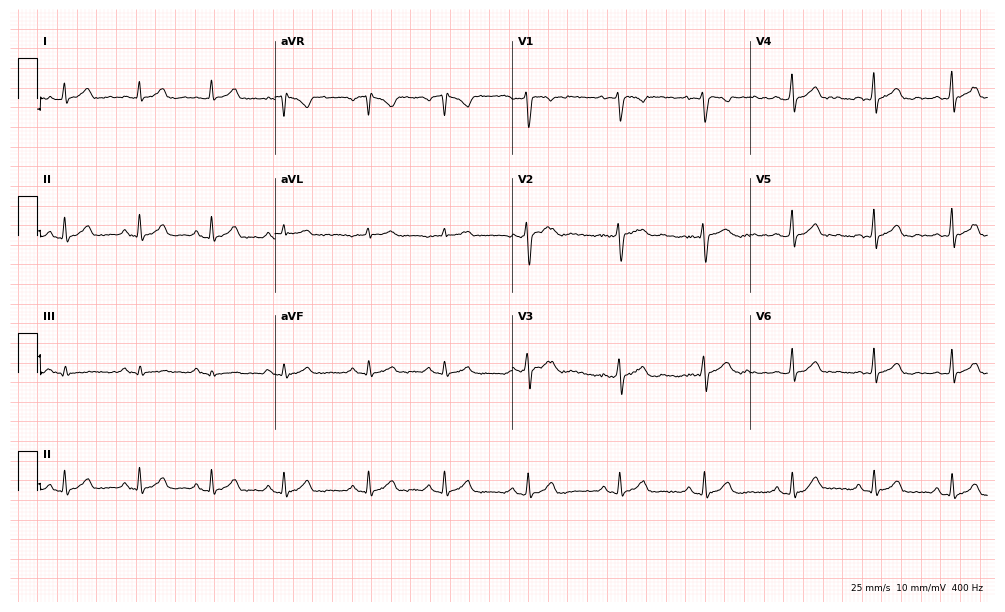
12-lead ECG (9.7-second recording at 400 Hz) from a female, 29 years old. Labelled as a normal ECG.